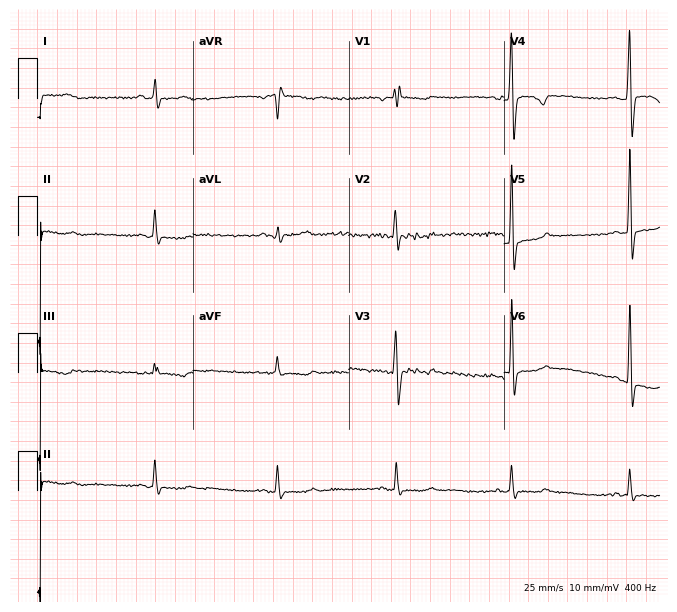
Standard 12-lead ECG recorded from a male, 37 years old (6.3-second recording at 400 Hz). None of these six findings is recorded: first-degree AV block, right bundle branch block, left bundle branch block, sinus bradycardia, atrial fibrillation, sinus tachycardia. Only these six findings were labelled.